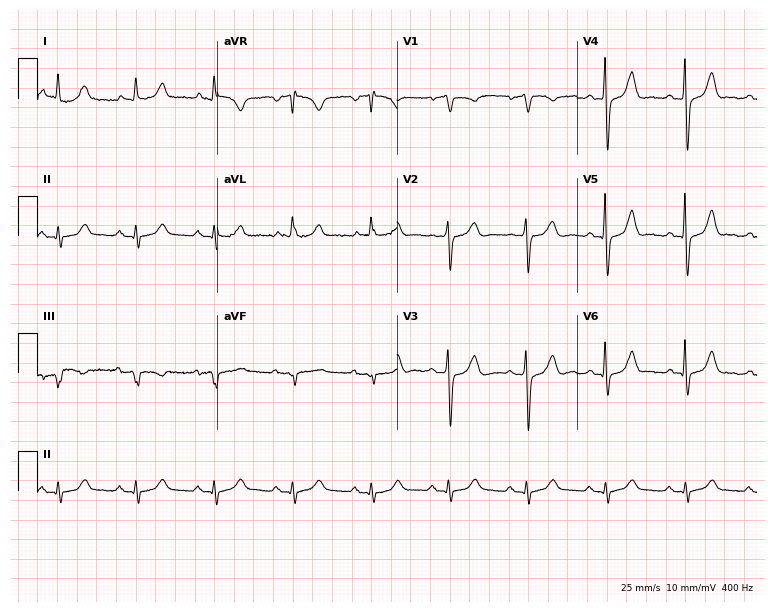
Standard 12-lead ECG recorded from an 80-year-old man. Read as a normal ECG.